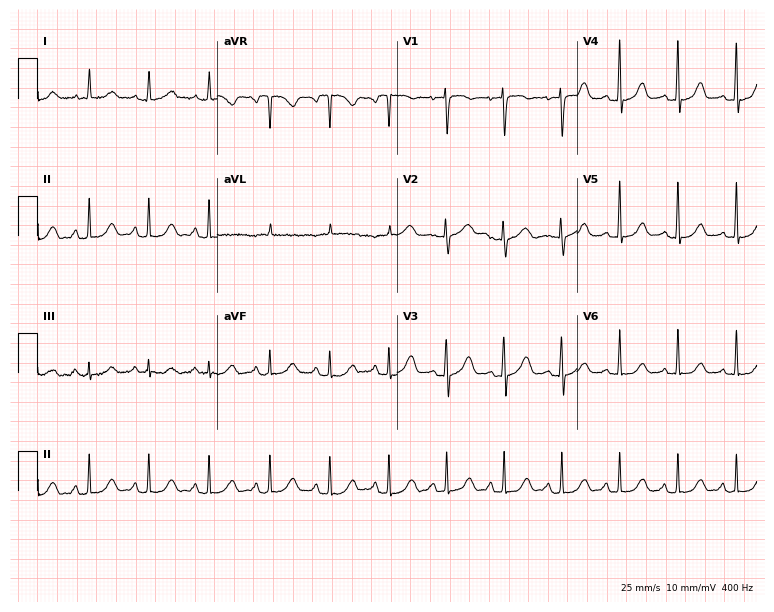
12-lead ECG from a 59-year-old female. Screened for six findings — first-degree AV block, right bundle branch block (RBBB), left bundle branch block (LBBB), sinus bradycardia, atrial fibrillation (AF), sinus tachycardia — none is recorded. Findings outside these six are not listed.